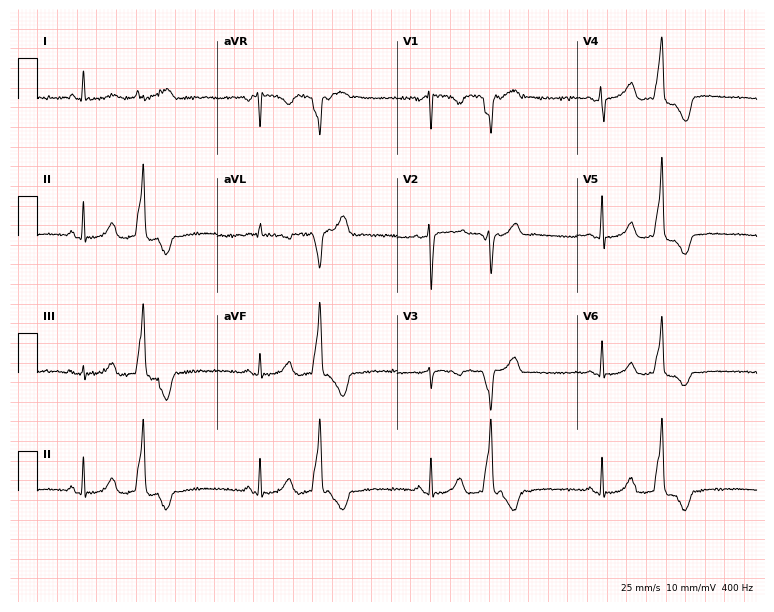
Standard 12-lead ECG recorded from a 41-year-old female patient. None of these six findings is recorded: first-degree AV block, right bundle branch block (RBBB), left bundle branch block (LBBB), sinus bradycardia, atrial fibrillation (AF), sinus tachycardia.